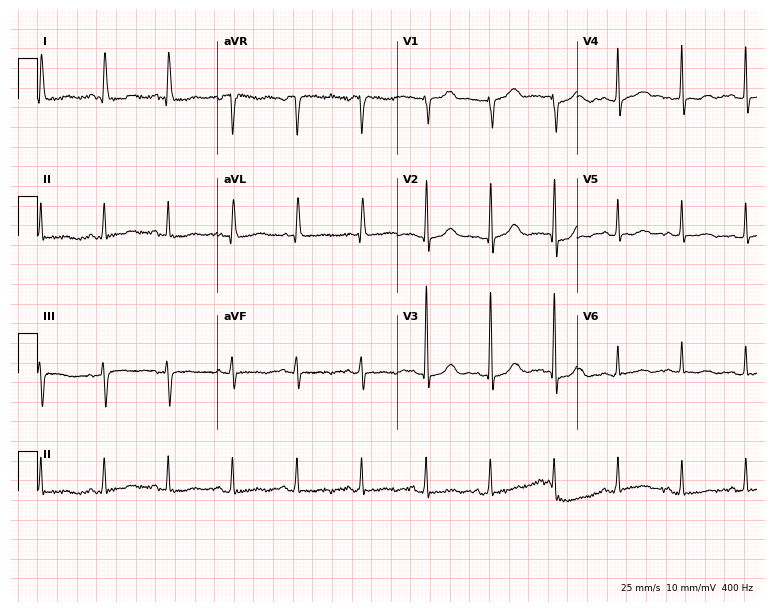
12-lead ECG from a 58-year-old female patient. Screened for six findings — first-degree AV block, right bundle branch block (RBBB), left bundle branch block (LBBB), sinus bradycardia, atrial fibrillation (AF), sinus tachycardia — none is recorded. Other findings, if any, are not listed.